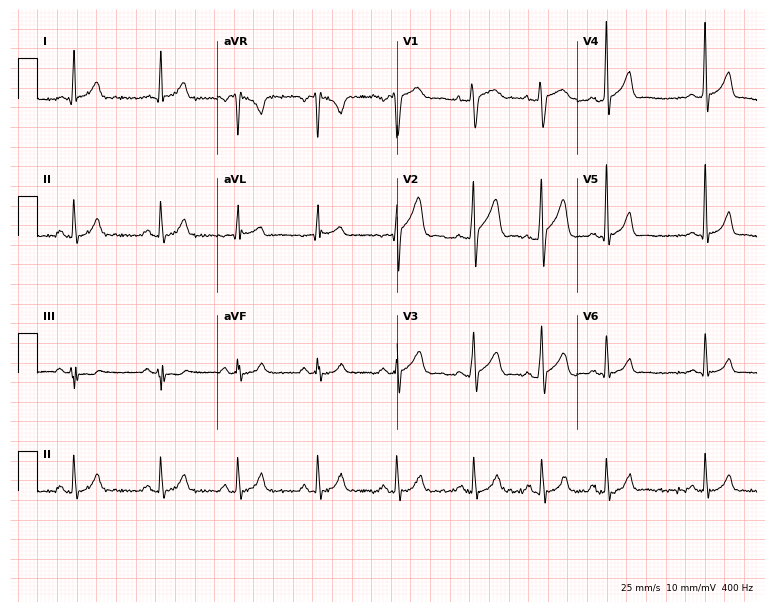
ECG (7.3-second recording at 400 Hz) — a 20-year-old man. Labelled as a normal ECG.